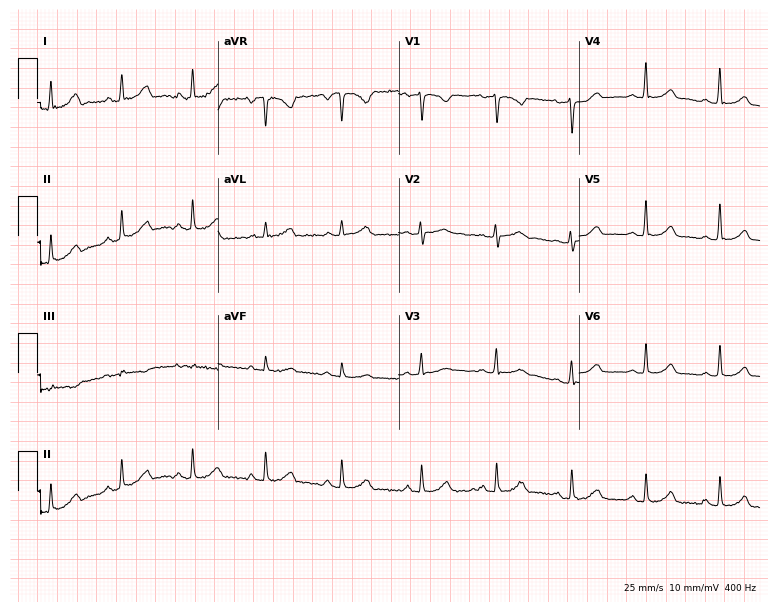
12-lead ECG from a 34-year-old female patient (7.4-second recording at 400 Hz). No first-degree AV block, right bundle branch block, left bundle branch block, sinus bradycardia, atrial fibrillation or sinus tachycardia recorded for this tracing.